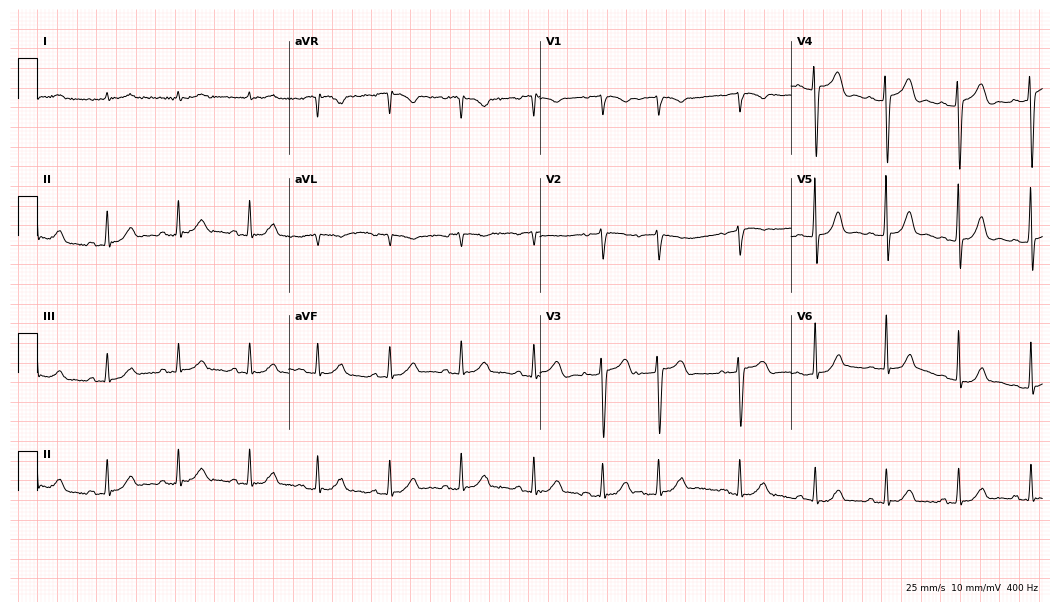
12-lead ECG (10.2-second recording at 400 Hz) from a male, 85 years old. Labelled as a normal ECG.